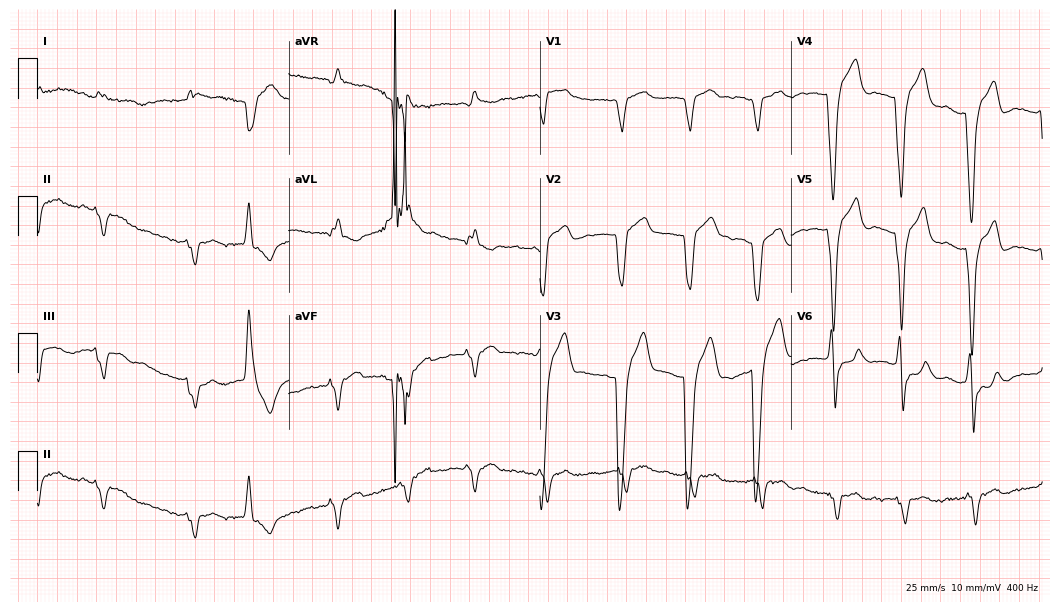
Resting 12-lead electrocardiogram. Patient: a 75-year-old male. None of these six findings is recorded: first-degree AV block, right bundle branch block, left bundle branch block, sinus bradycardia, atrial fibrillation, sinus tachycardia.